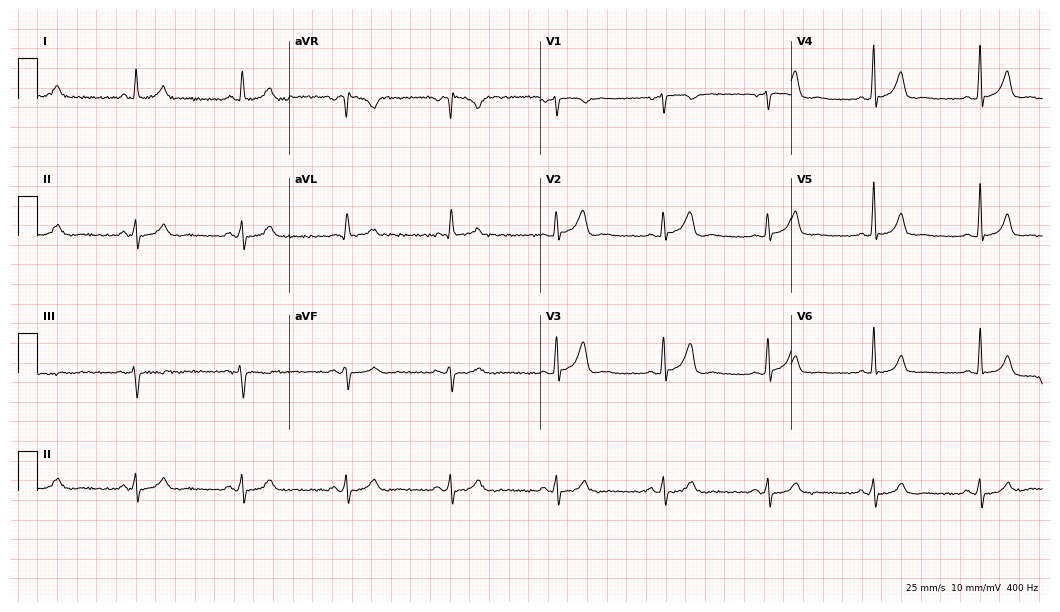
Standard 12-lead ECG recorded from a 61-year-old man (10.2-second recording at 400 Hz). Read as a normal ECG.